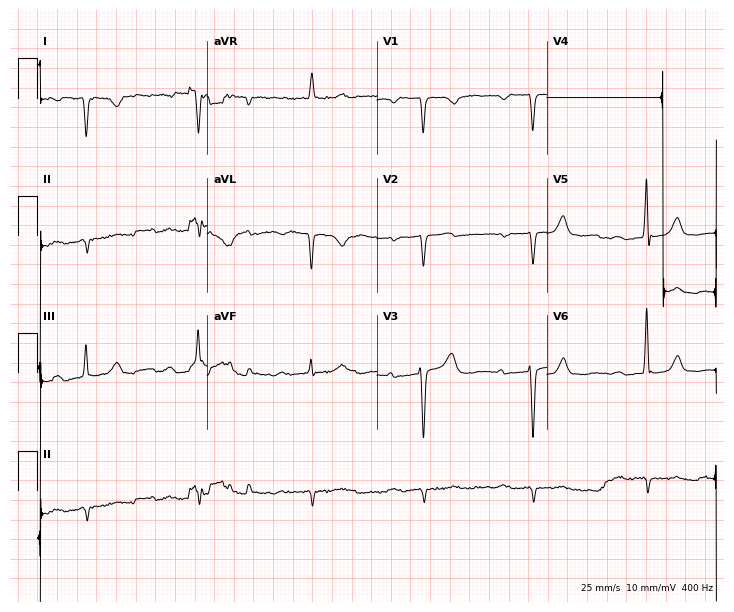
ECG — a 79-year-old man. Screened for six findings — first-degree AV block, right bundle branch block, left bundle branch block, sinus bradycardia, atrial fibrillation, sinus tachycardia — none is recorded.